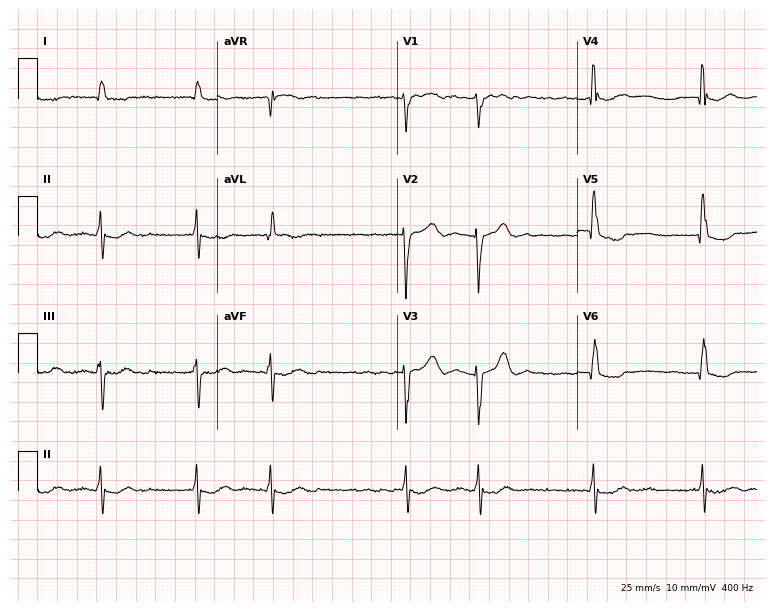
Electrocardiogram, a female patient, 72 years old. Interpretation includes atrial fibrillation (AF).